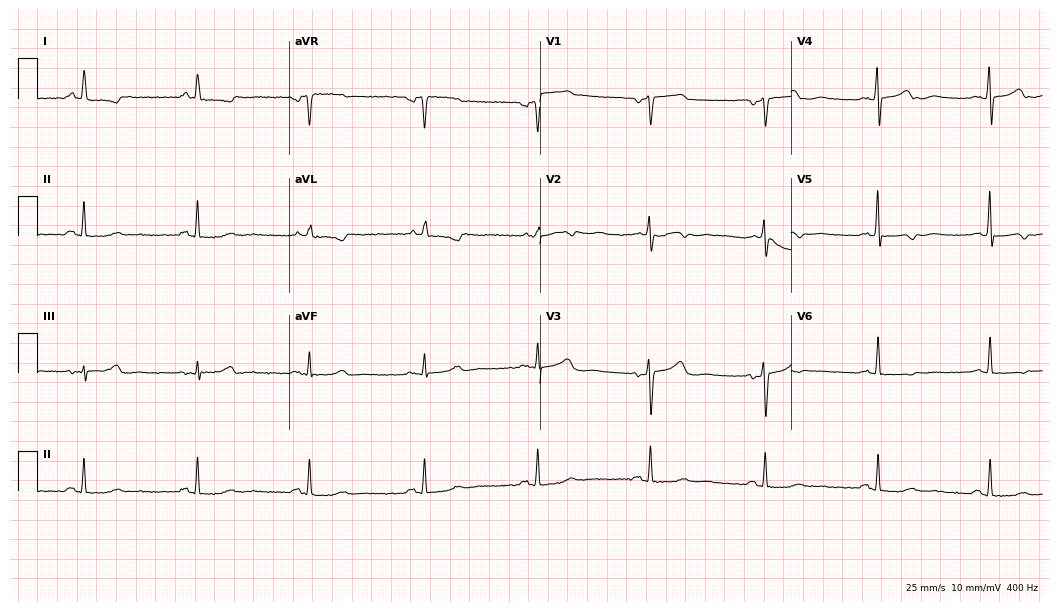
ECG (10.2-second recording at 400 Hz) — a female, 62 years old. Screened for six findings — first-degree AV block, right bundle branch block (RBBB), left bundle branch block (LBBB), sinus bradycardia, atrial fibrillation (AF), sinus tachycardia — none is recorded. Only these six findings were labelled.